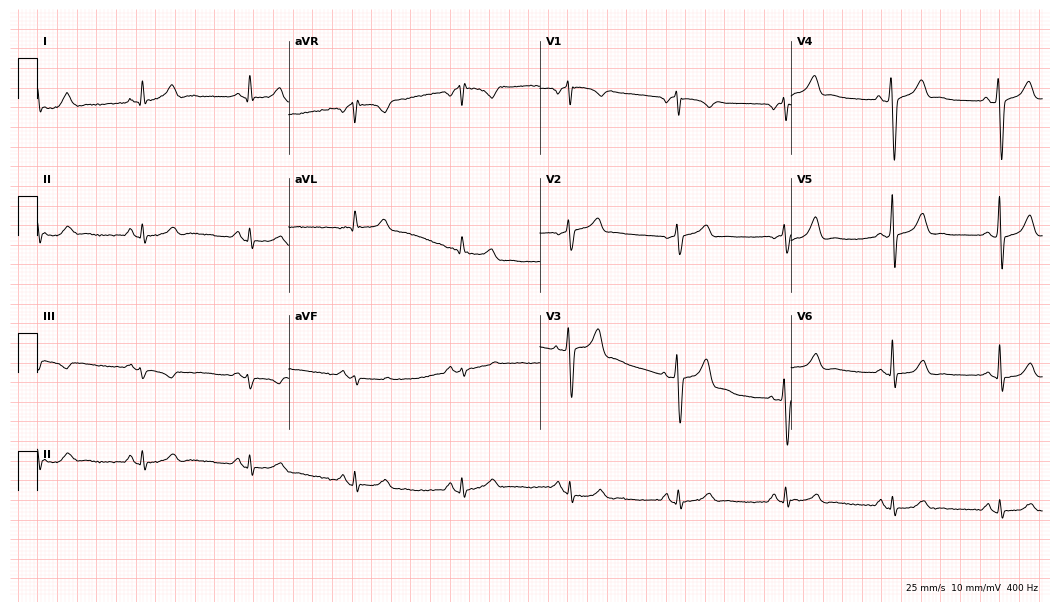
Electrocardiogram, a 52-year-old man. Overall reading on record: normal ECG.